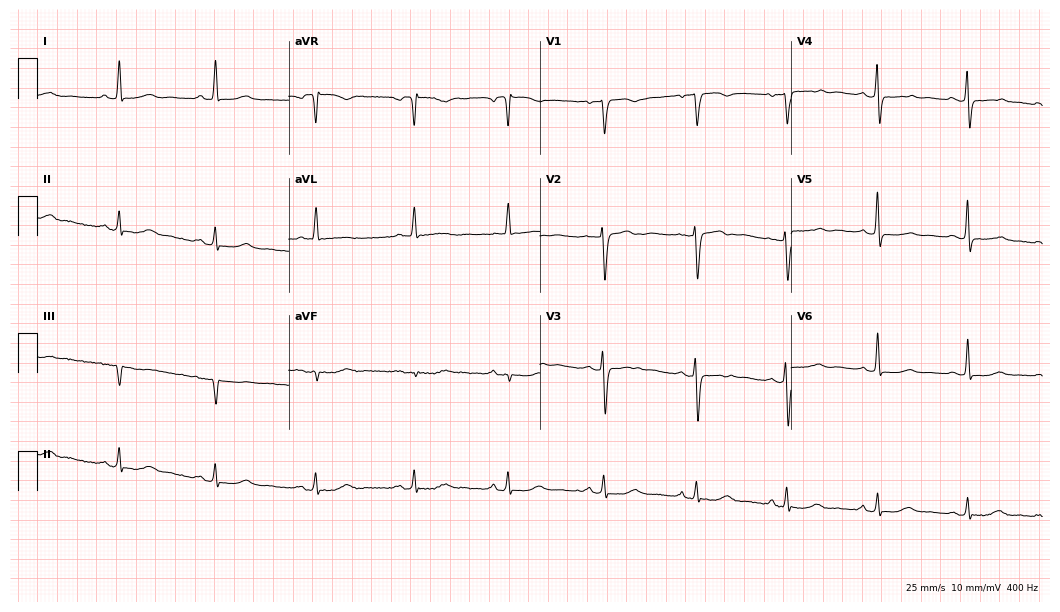
12-lead ECG from a female patient, 70 years old. Screened for six findings — first-degree AV block, right bundle branch block (RBBB), left bundle branch block (LBBB), sinus bradycardia, atrial fibrillation (AF), sinus tachycardia — none is recorded. Other findings, if any, are not listed.